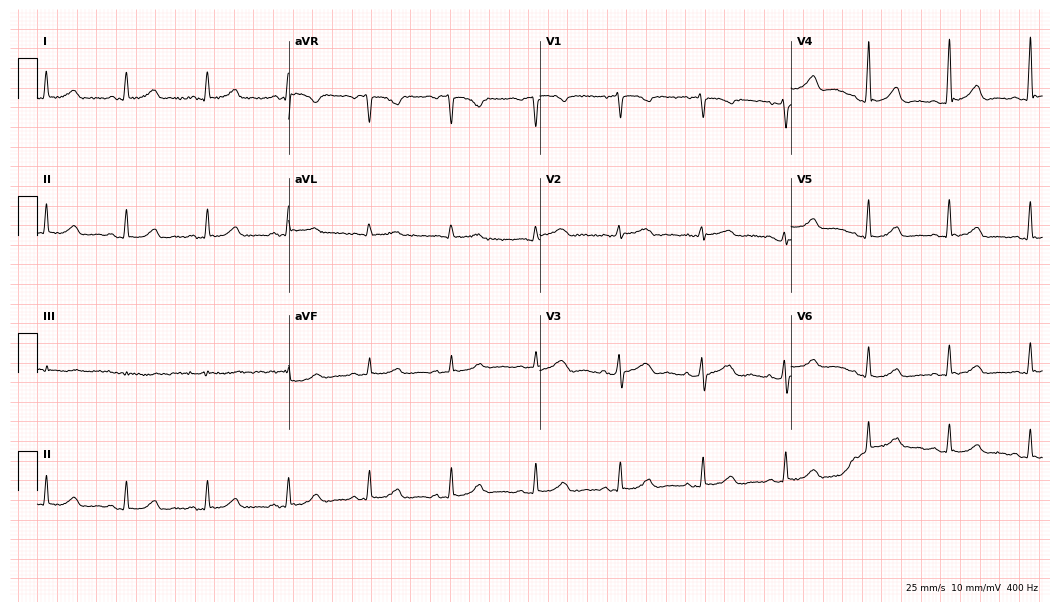
12-lead ECG from a female patient, 60 years old. Labelled as a normal ECG.